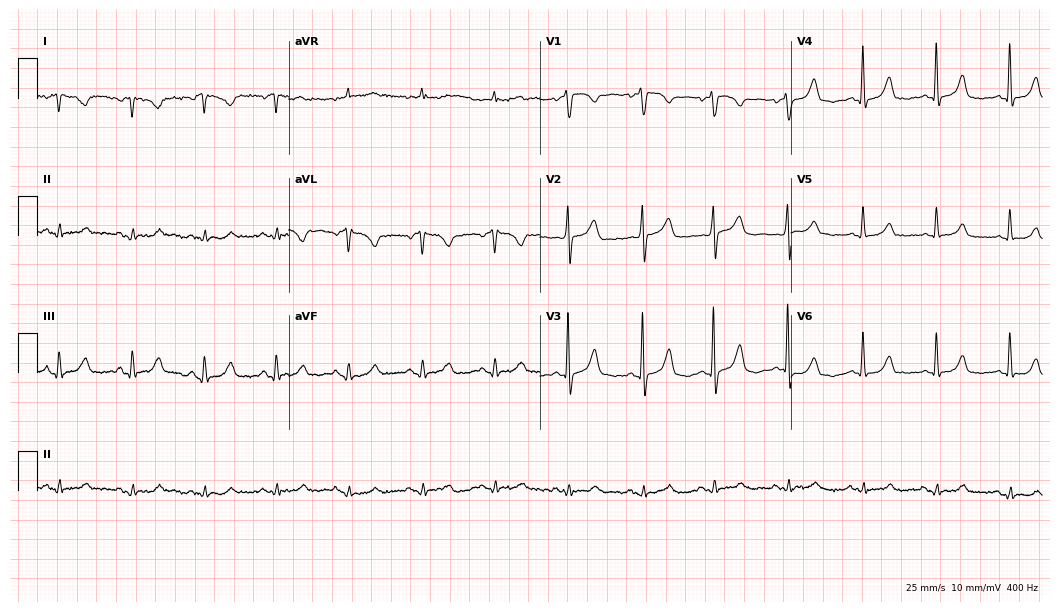
12-lead ECG from an 84-year-old female. Labelled as a normal ECG.